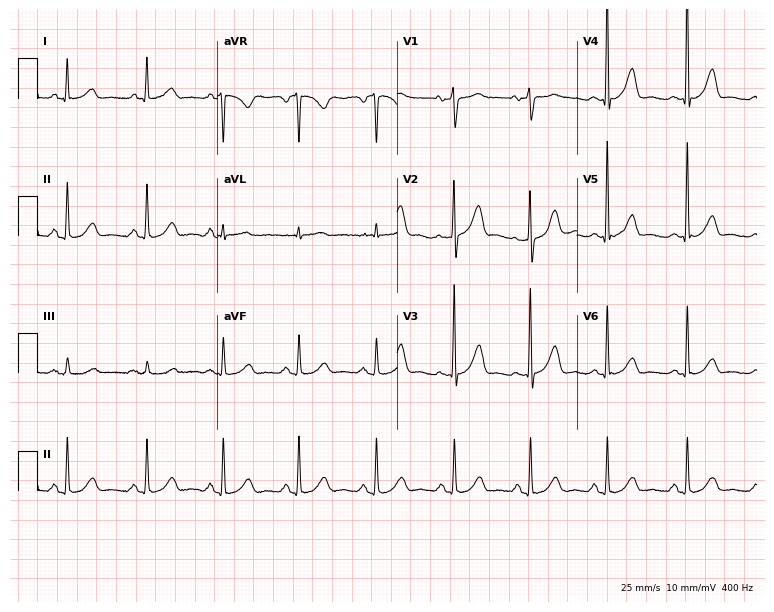
12-lead ECG from a female, 70 years old (7.3-second recording at 400 Hz). No first-degree AV block, right bundle branch block, left bundle branch block, sinus bradycardia, atrial fibrillation or sinus tachycardia recorded for this tracing. Only these six findings were labelled.